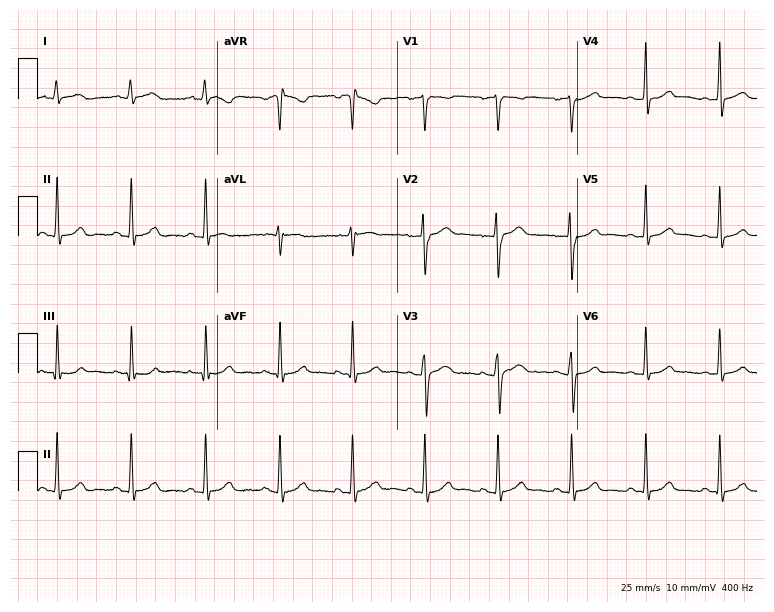
Resting 12-lead electrocardiogram. Patient: a female, 20 years old. None of these six findings is recorded: first-degree AV block, right bundle branch block, left bundle branch block, sinus bradycardia, atrial fibrillation, sinus tachycardia. Findings outside these six are not listed.